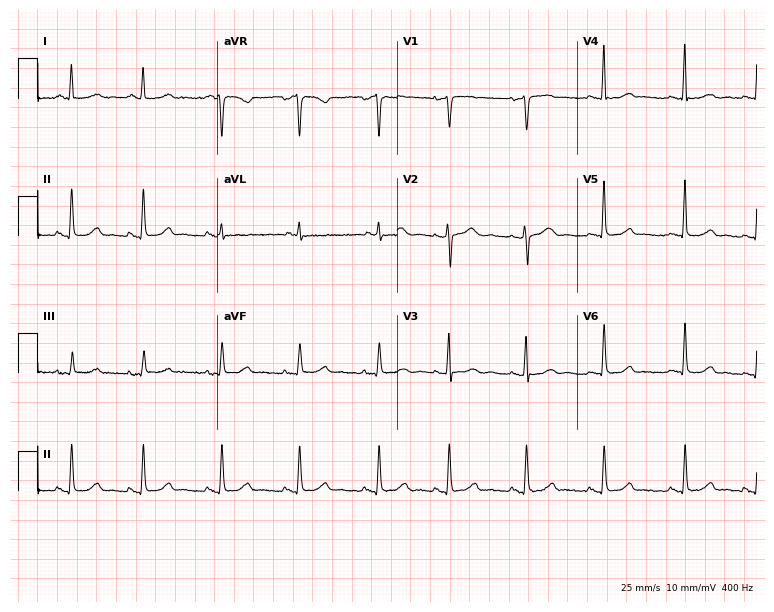
Standard 12-lead ECG recorded from a 46-year-old female (7.3-second recording at 400 Hz). Read as a normal ECG.